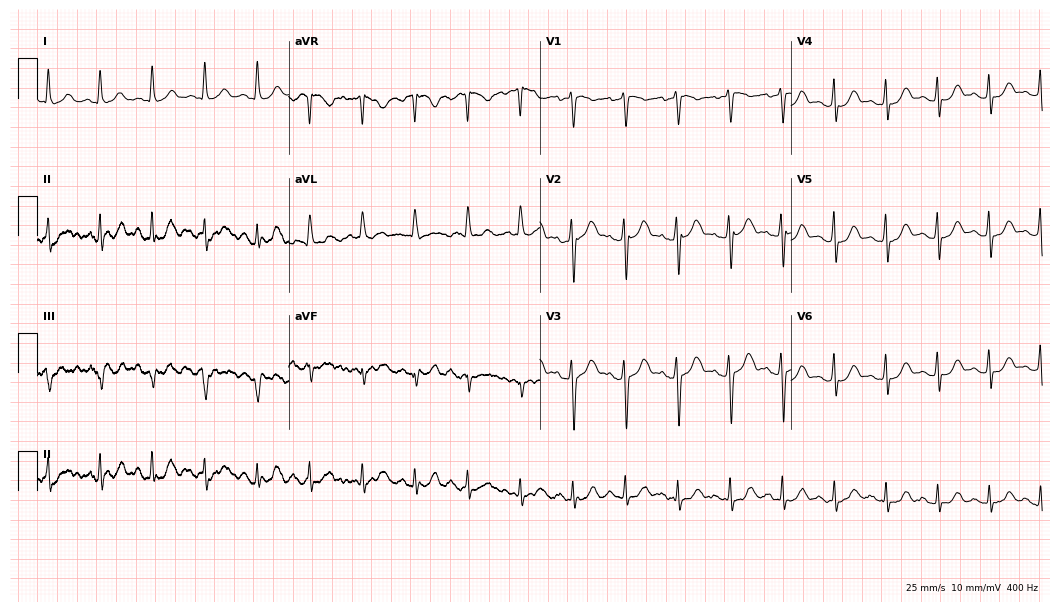
ECG — a woman, 66 years old. Findings include sinus tachycardia (a sinus rate of 100 beats per minute or more).